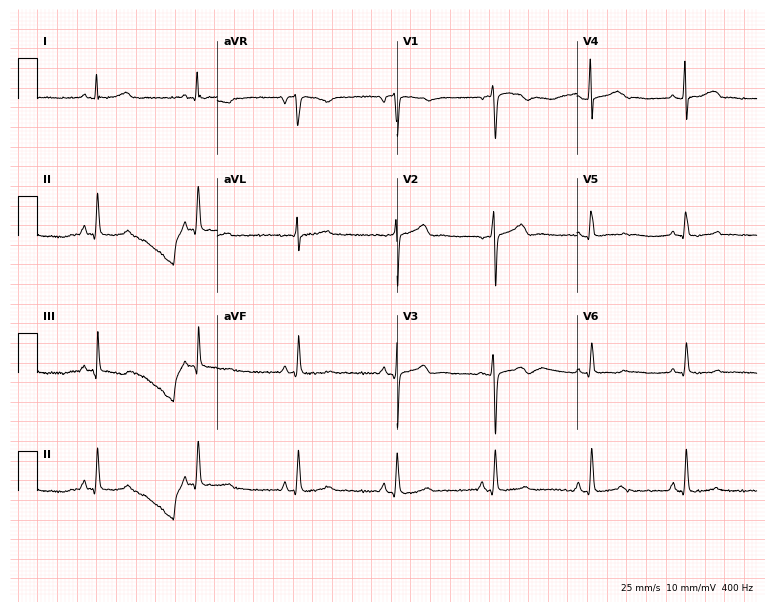
12-lead ECG from a 42-year-old man. Screened for six findings — first-degree AV block, right bundle branch block, left bundle branch block, sinus bradycardia, atrial fibrillation, sinus tachycardia — none is recorded. Other findings, if any, are not listed.